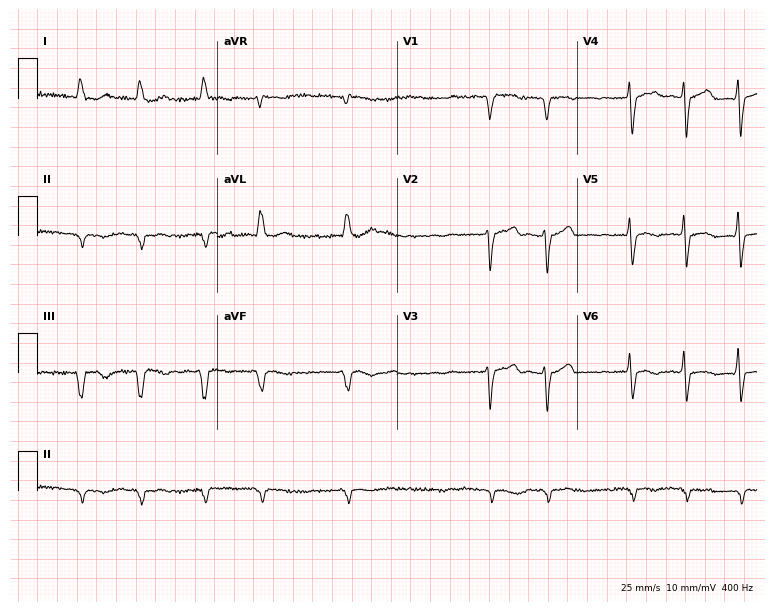
12-lead ECG (7.3-second recording at 400 Hz) from a 66-year-old man. Findings include atrial fibrillation.